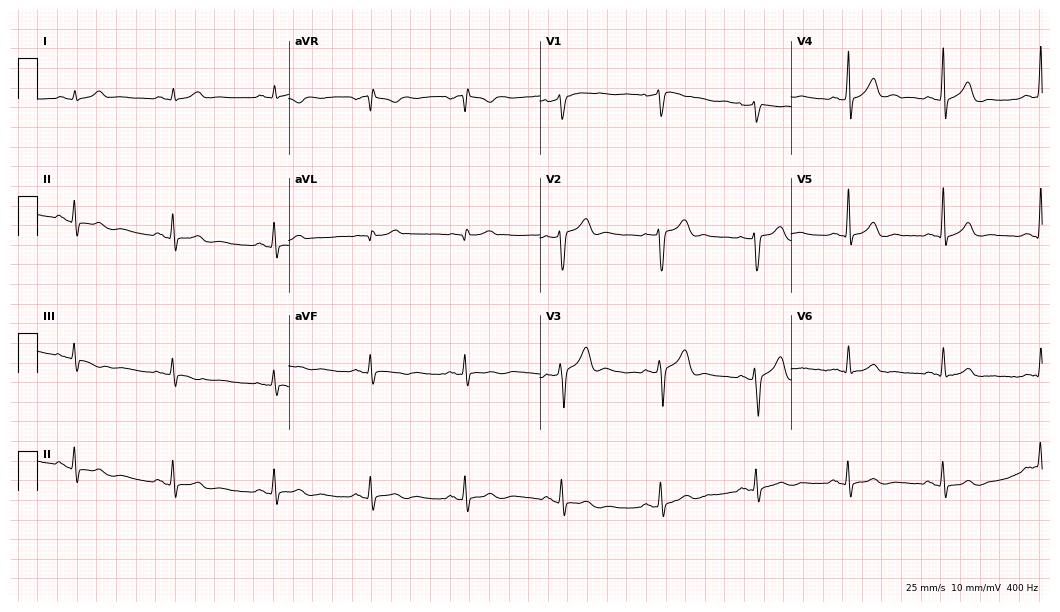
Standard 12-lead ECG recorded from a 31-year-old male (10.2-second recording at 400 Hz). None of these six findings is recorded: first-degree AV block, right bundle branch block, left bundle branch block, sinus bradycardia, atrial fibrillation, sinus tachycardia.